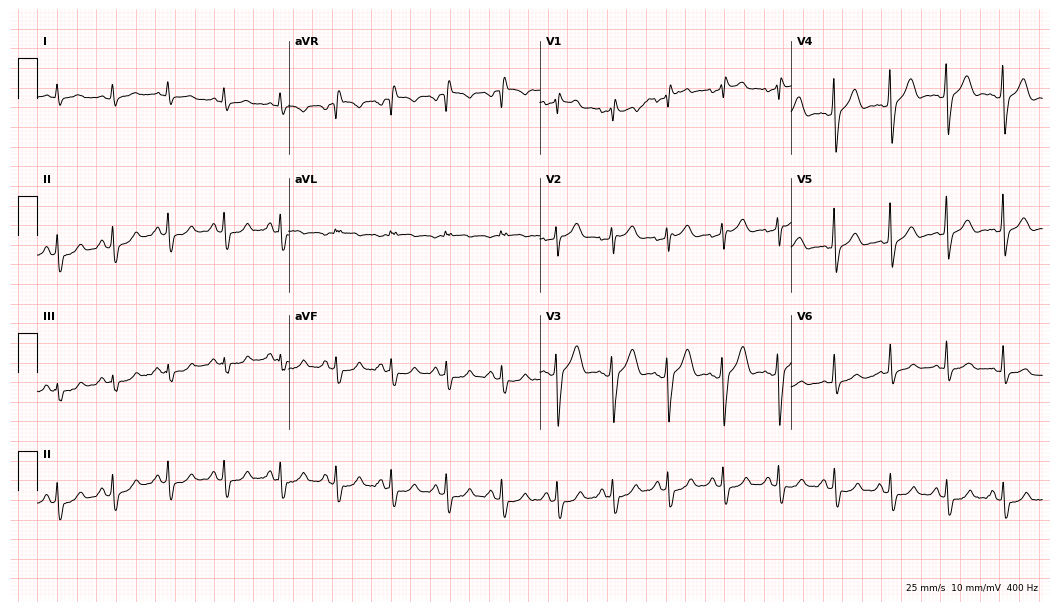
Electrocardiogram, a male patient, 61 years old. Interpretation includes sinus tachycardia (a sinus rate of 100 beats per minute or more).